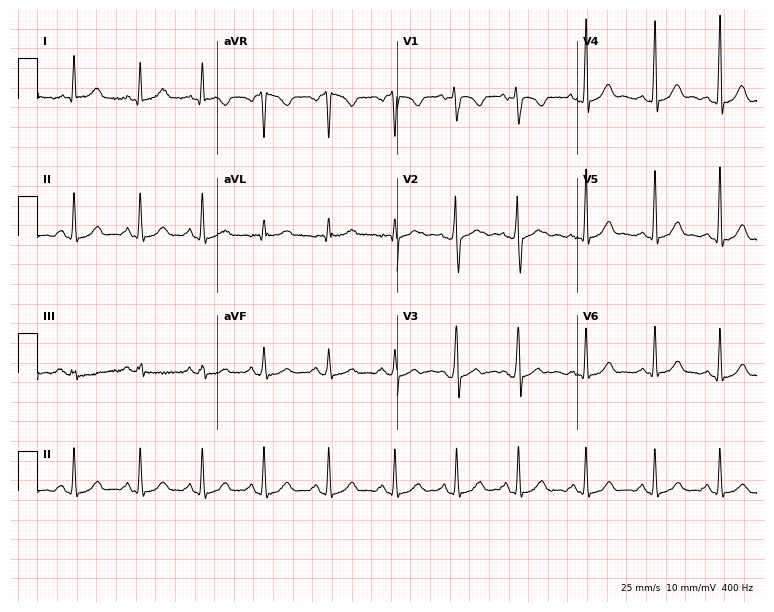
Electrocardiogram, a 29-year-old female patient. Overall reading on record: normal ECG.